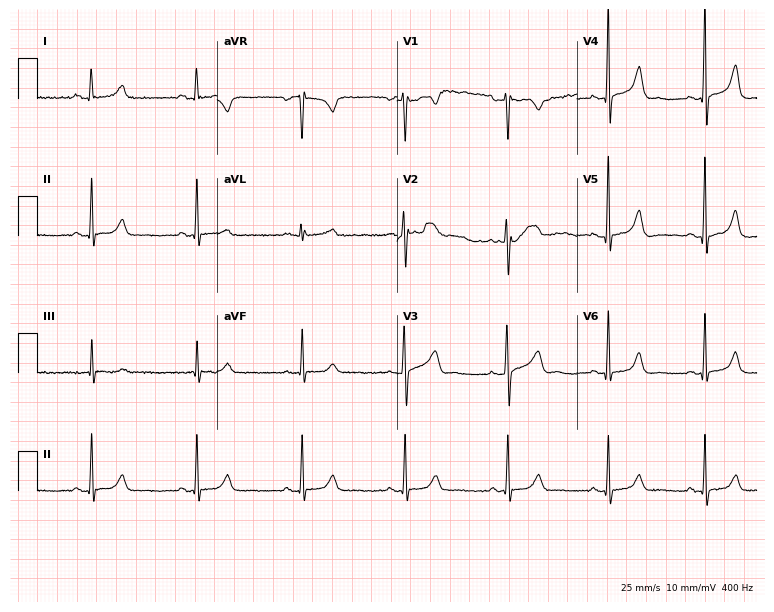
12-lead ECG (7.3-second recording at 400 Hz) from a female patient, 32 years old. Labelled as a normal ECG.